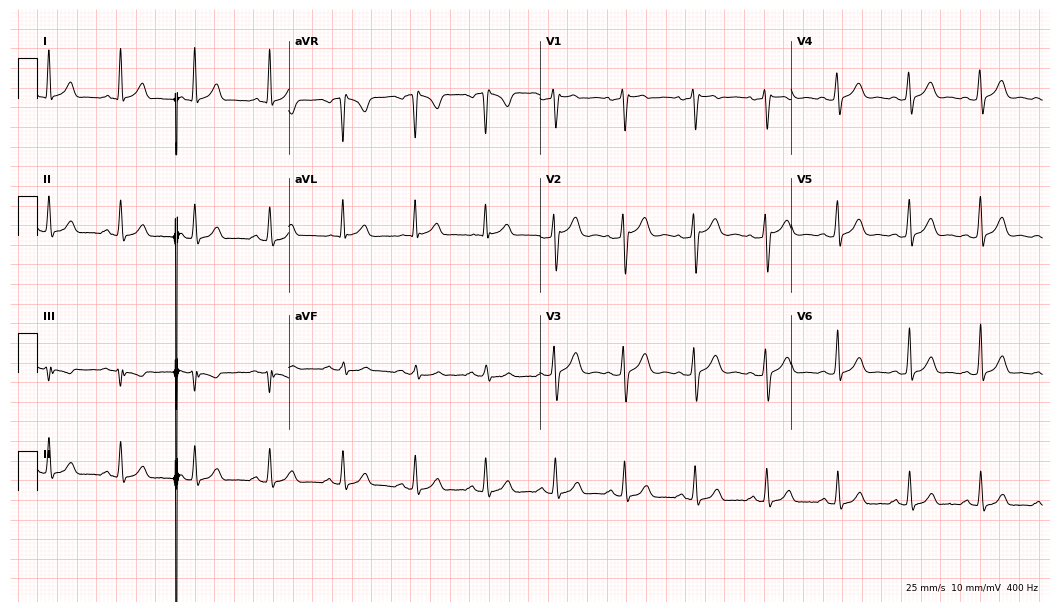
12-lead ECG from a 28-year-old man (10.2-second recording at 400 Hz). No first-degree AV block, right bundle branch block (RBBB), left bundle branch block (LBBB), sinus bradycardia, atrial fibrillation (AF) or sinus tachycardia recorded for this tracing.